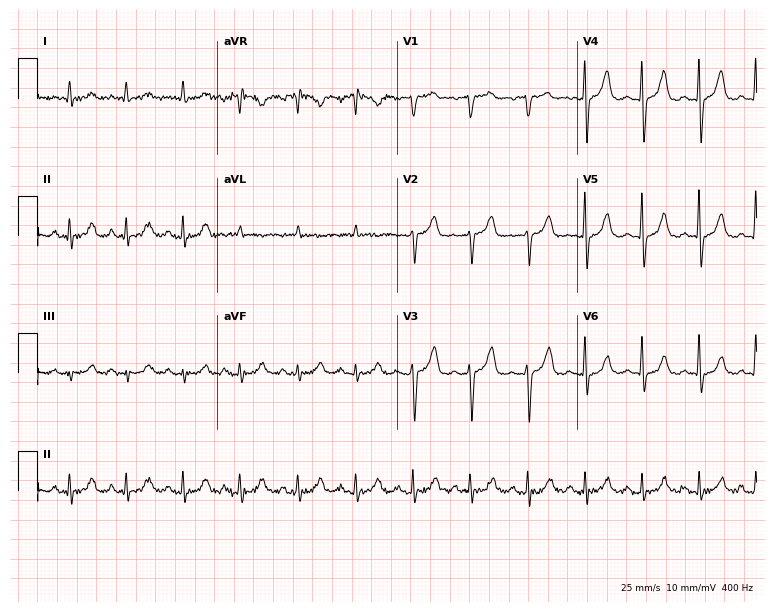
Resting 12-lead electrocardiogram (7.3-second recording at 400 Hz). Patient: a female, 72 years old. The tracing shows sinus tachycardia (a sinus rate of 100 beats per minute or more).